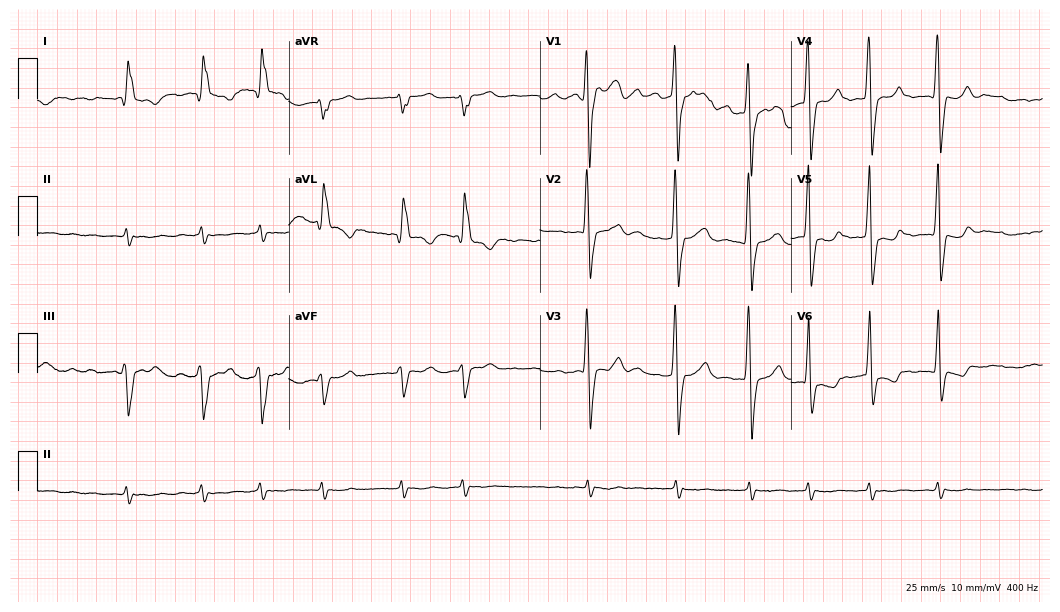
ECG (10.2-second recording at 400 Hz) — a male patient, 74 years old. Findings include left bundle branch block, atrial fibrillation.